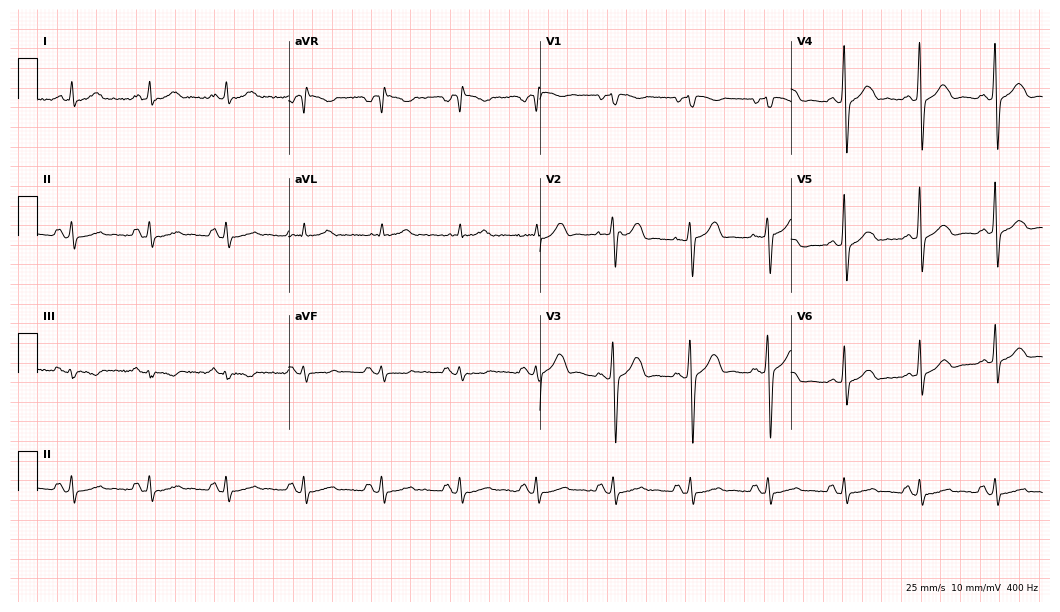
12-lead ECG from a male patient, 60 years old. Screened for six findings — first-degree AV block, right bundle branch block, left bundle branch block, sinus bradycardia, atrial fibrillation, sinus tachycardia — none is recorded.